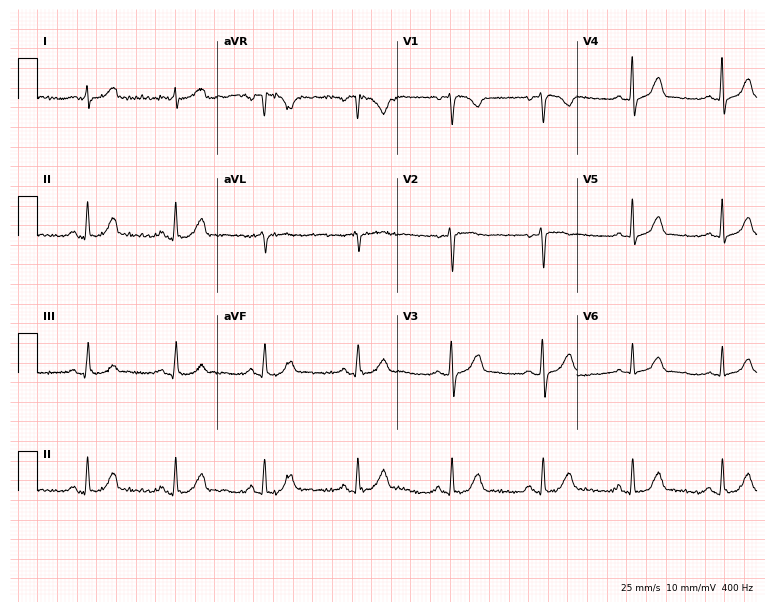
Electrocardiogram, a woman, 49 years old. Of the six screened findings (first-degree AV block, right bundle branch block, left bundle branch block, sinus bradycardia, atrial fibrillation, sinus tachycardia), none is recorded.